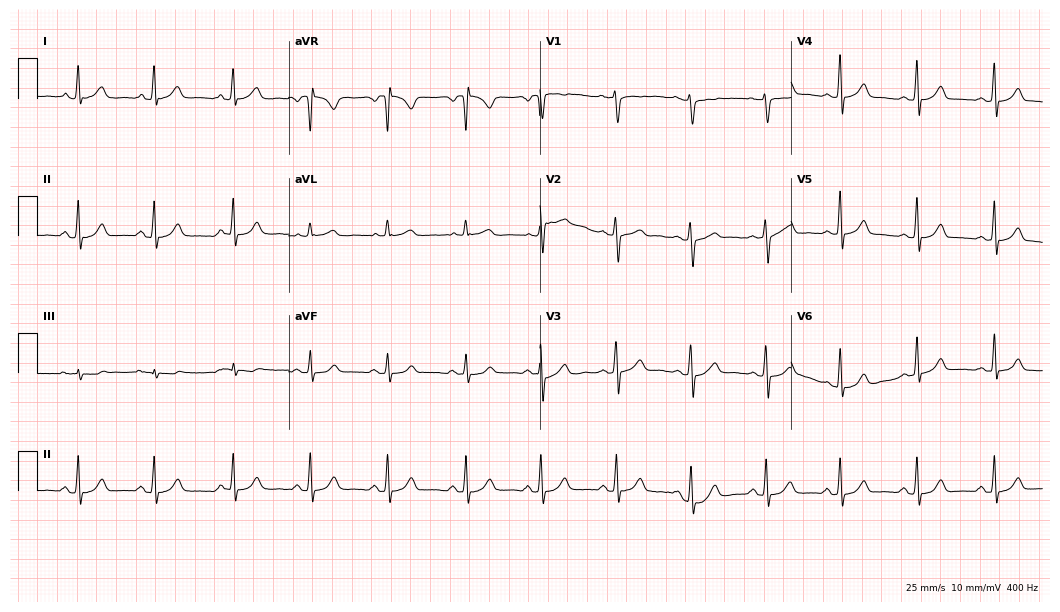
12-lead ECG from a woman, 34 years old. Labelled as a normal ECG.